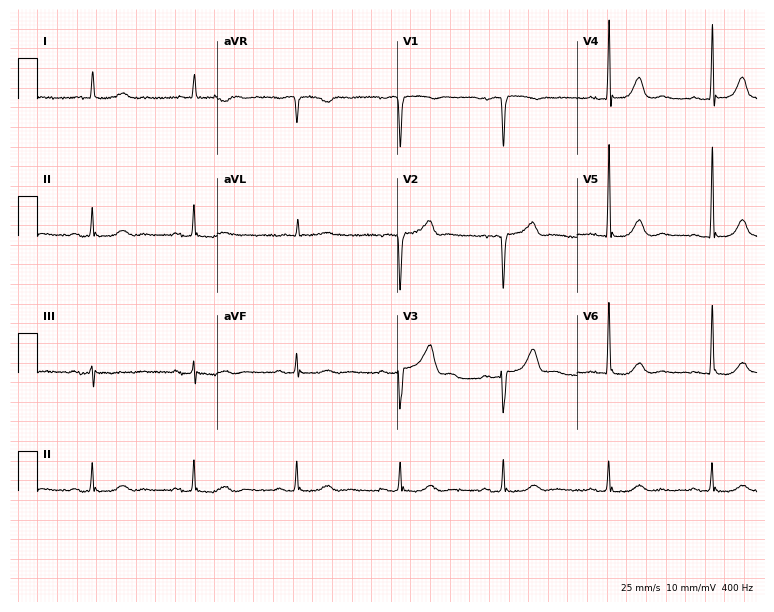
Electrocardiogram (7.3-second recording at 400 Hz), a male patient, 76 years old. Of the six screened findings (first-degree AV block, right bundle branch block, left bundle branch block, sinus bradycardia, atrial fibrillation, sinus tachycardia), none is recorded.